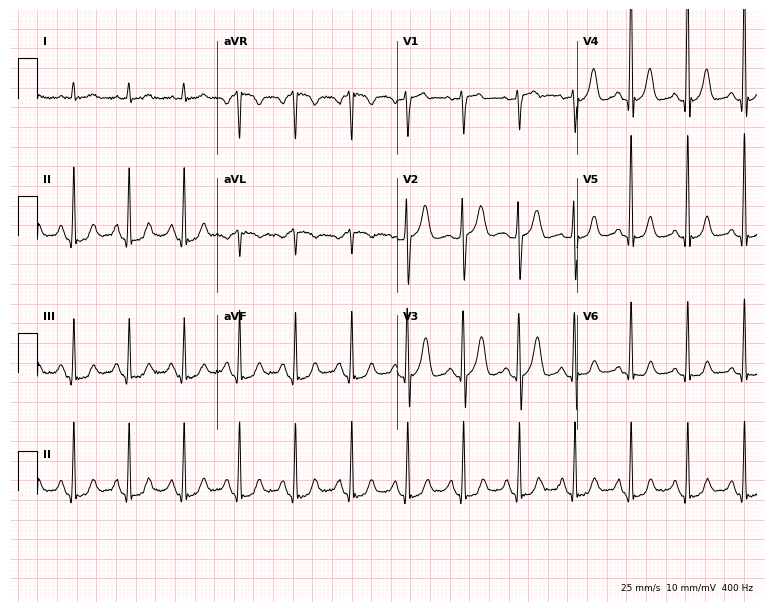
Standard 12-lead ECG recorded from a 53-year-old man (7.3-second recording at 400 Hz). The tracing shows sinus tachycardia (a sinus rate of 100 beats per minute or more).